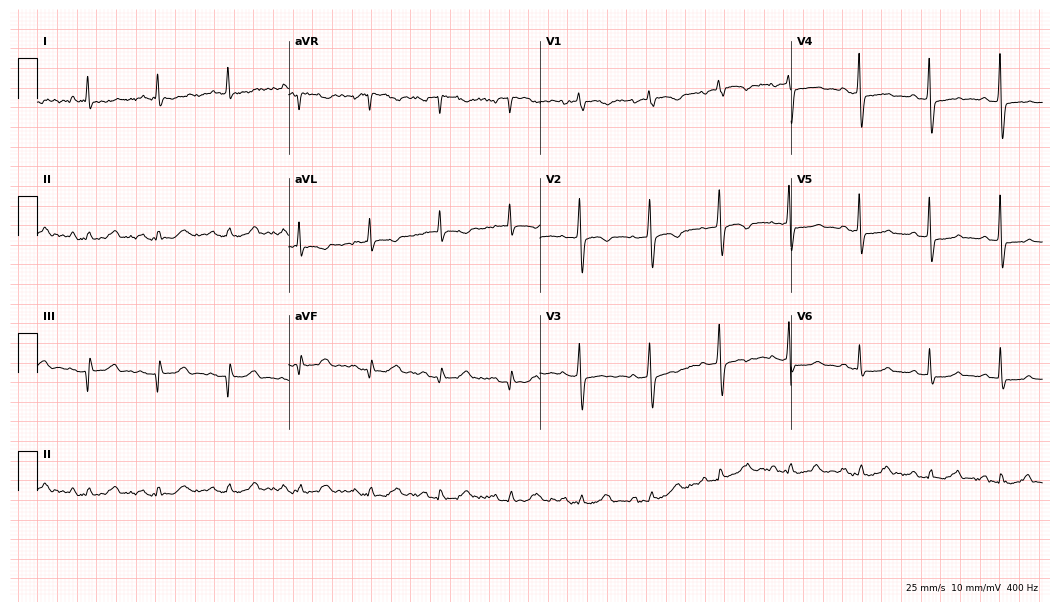
12-lead ECG from a woman, 77 years old. Screened for six findings — first-degree AV block, right bundle branch block, left bundle branch block, sinus bradycardia, atrial fibrillation, sinus tachycardia — none is recorded.